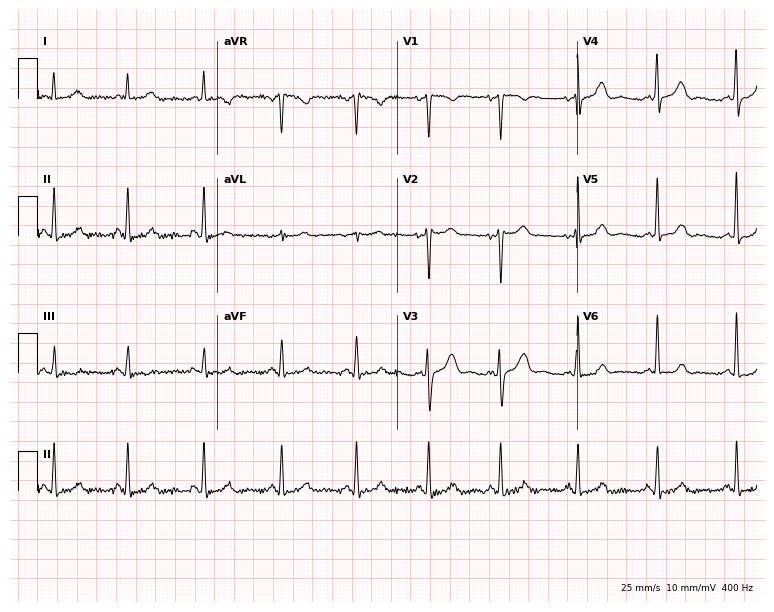
12-lead ECG (7.3-second recording at 400 Hz) from a woman, 40 years old. Screened for six findings — first-degree AV block, right bundle branch block, left bundle branch block, sinus bradycardia, atrial fibrillation, sinus tachycardia — none is recorded.